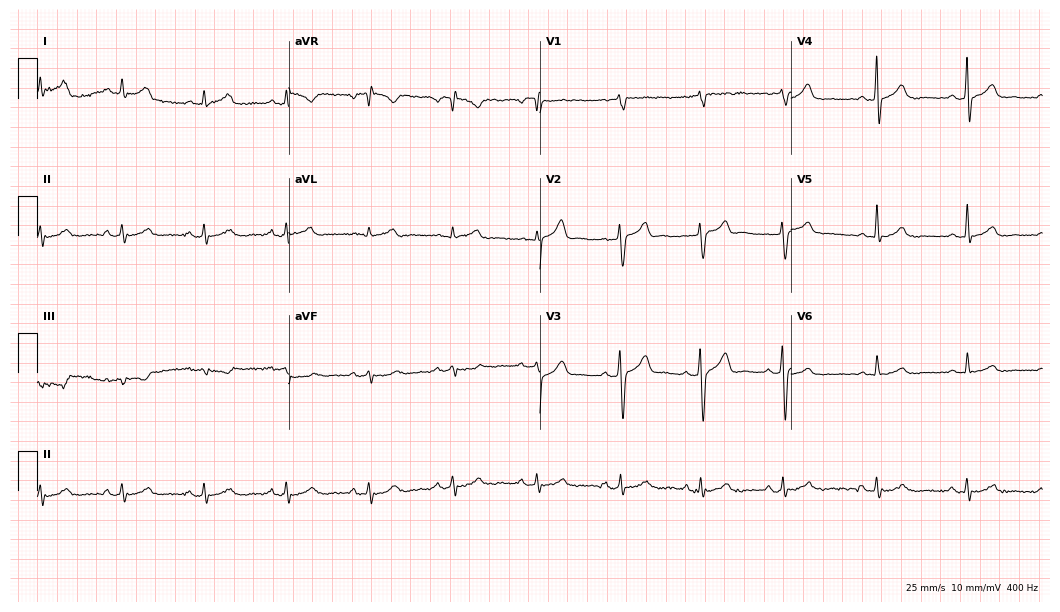
Electrocardiogram (10.2-second recording at 400 Hz), a 43-year-old male patient. Of the six screened findings (first-degree AV block, right bundle branch block (RBBB), left bundle branch block (LBBB), sinus bradycardia, atrial fibrillation (AF), sinus tachycardia), none is recorded. Other findings, if any, are not listed.